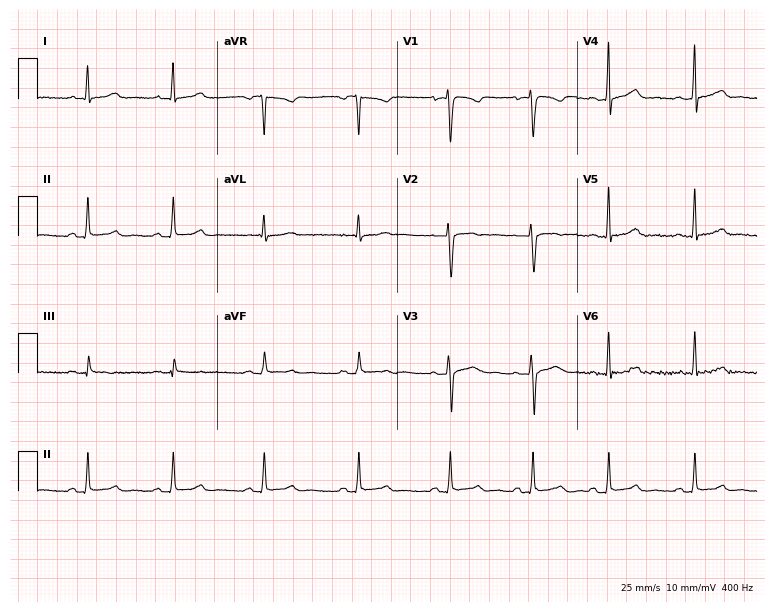
Resting 12-lead electrocardiogram. Patient: a 33-year-old female. Read as a normal ECG.